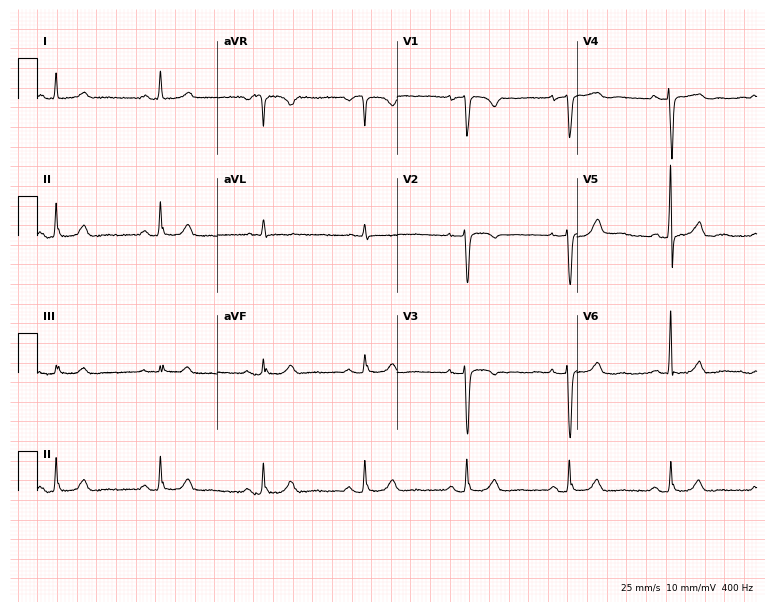
Resting 12-lead electrocardiogram. Patient: a woman, 64 years old. Read as a normal ECG.